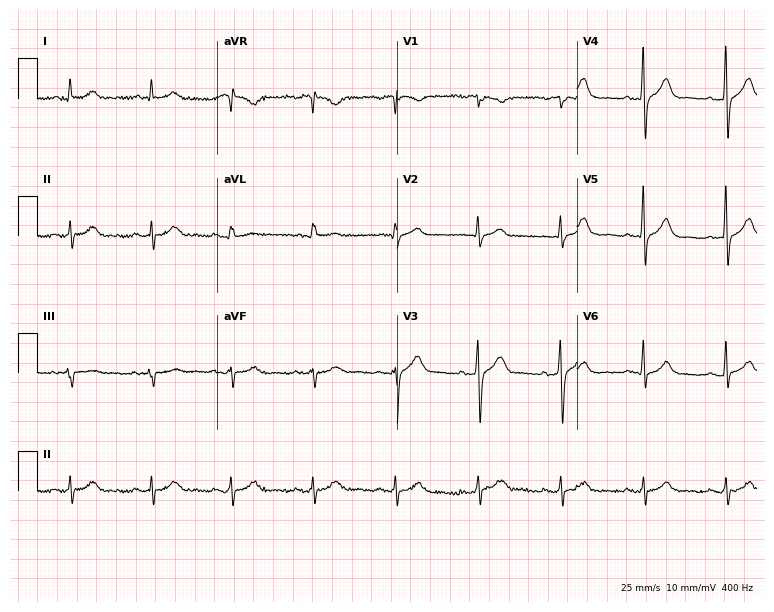
ECG (7.3-second recording at 400 Hz) — a male patient, 65 years old. Labelled as a normal ECG.